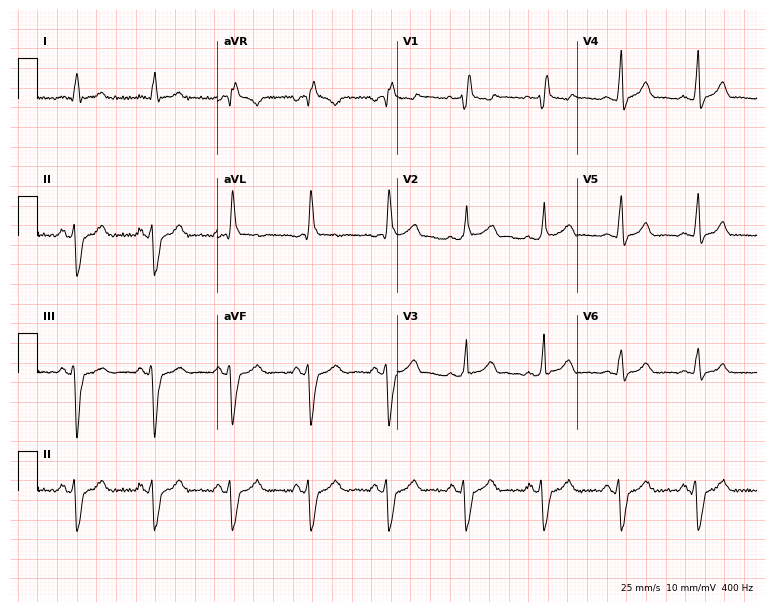
12-lead ECG from a male patient, 52 years old. Shows right bundle branch block.